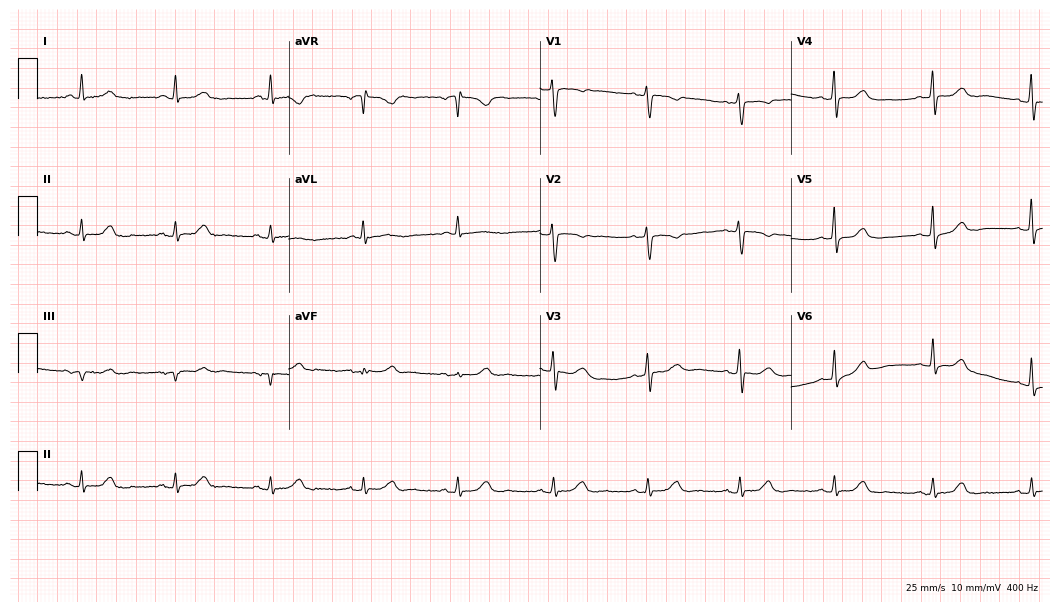
Resting 12-lead electrocardiogram (10.2-second recording at 400 Hz). Patient: a 67-year-old female. Read as a normal ECG.